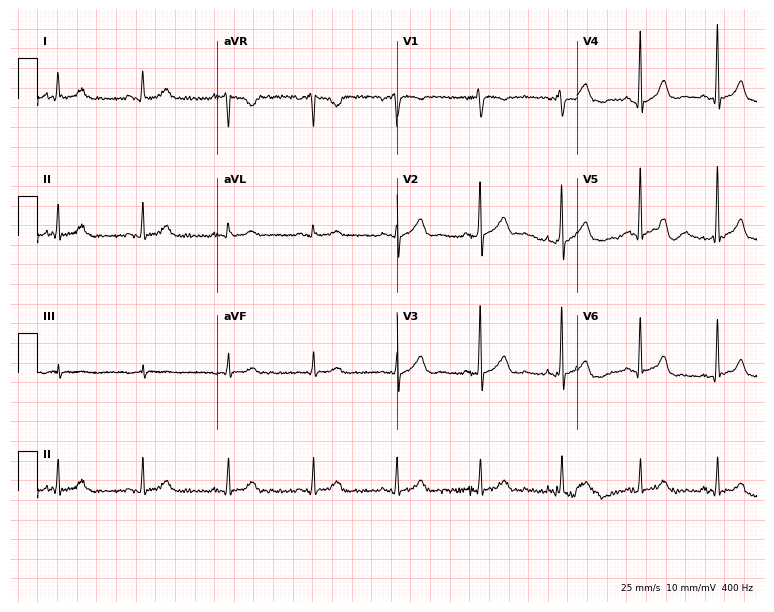
Electrocardiogram, a 52-year-old male patient. Of the six screened findings (first-degree AV block, right bundle branch block, left bundle branch block, sinus bradycardia, atrial fibrillation, sinus tachycardia), none is recorded.